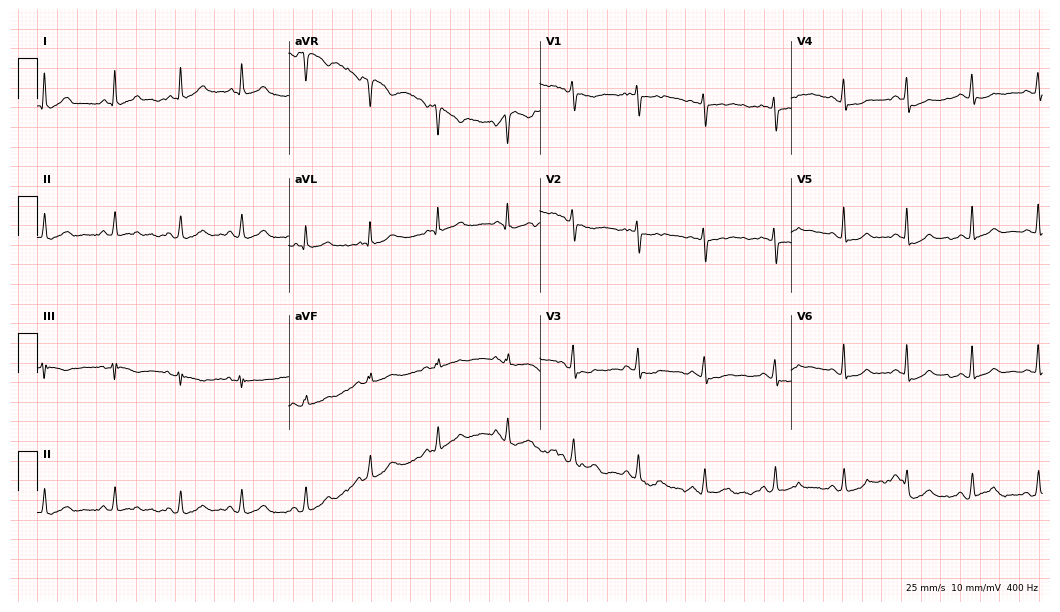
12-lead ECG from a female patient, 39 years old. Screened for six findings — first-degree AV block, right bundle branch block (RBBB), left bundle branch block (LBBB), sinus bradycardia, atrial fibrillation (AF), sinus tachycardia — none is recorded. Other findings, if any, are not listed.